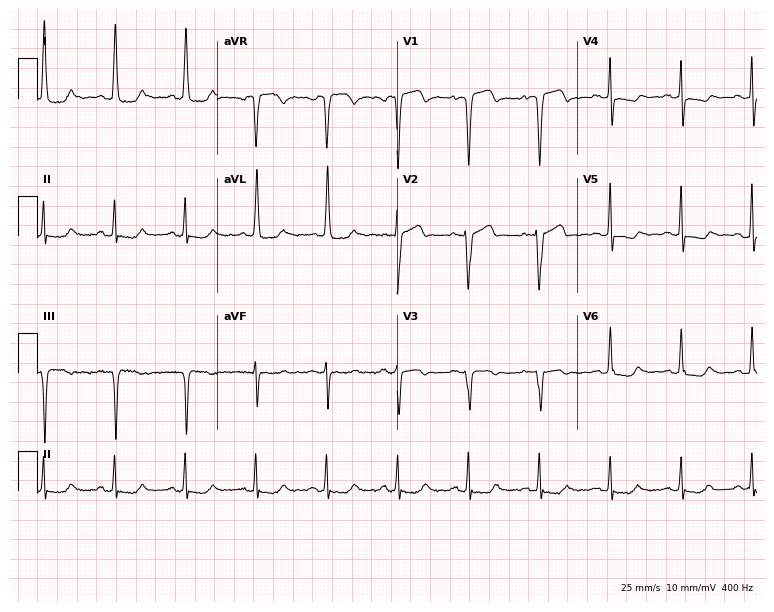
12-lead ECG from a 70-year-old female patient. No first-degree AV block, right bundle branch block, left bundle branch block, sinus bradycardia, atrial fibrillation or sinus tachycardia recorded for this tracing.